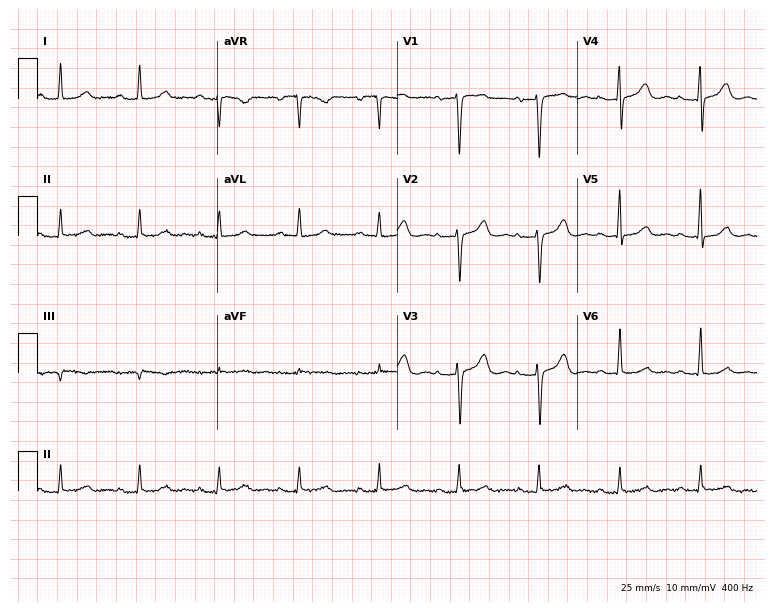
12-lead ECG (7.3-second recording at 400 Hz) from a 54-year-old female patient. Screened for six findings — first-degree AV block, right bundle branch block, left bundle branch block, sinus bradycardia, atrial fibrillation, sinus tachycardia — none is recorded.